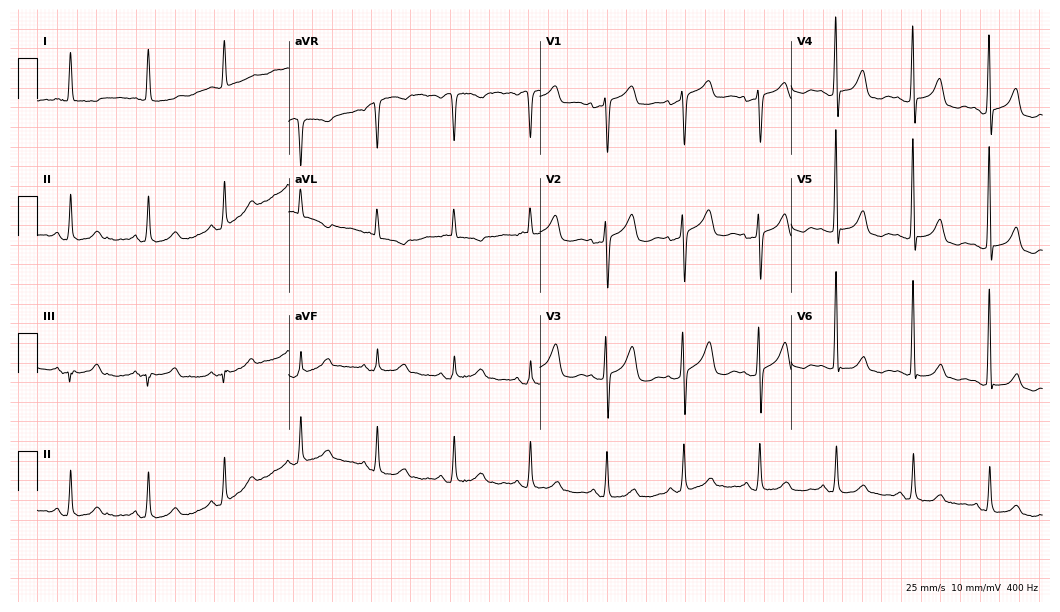
Resting 12-lead electrocardiogram (10.2-second recording at 400 Hz). Patient: a 61-year-old female. None of these six findings is recorded: first-degree AV block, right bundle branch block, left bundle branch block, sinus bradycardia, atrial fibrillation, sinus tachycardia.